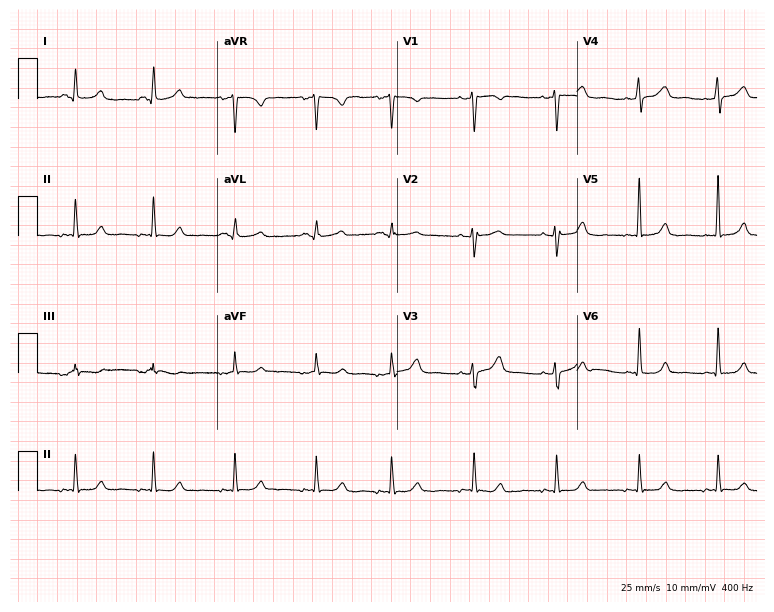
12-lead ECG (7.3-second recording at 400 Hz) from a 41-year-old female. Screened for six findings — first-degree AV block, right bundle branch block, left bundle branch block, sinus bradycardia, atrial fibrillation, sinus tachycardia — none is recorded. Only these six findings were labelled.